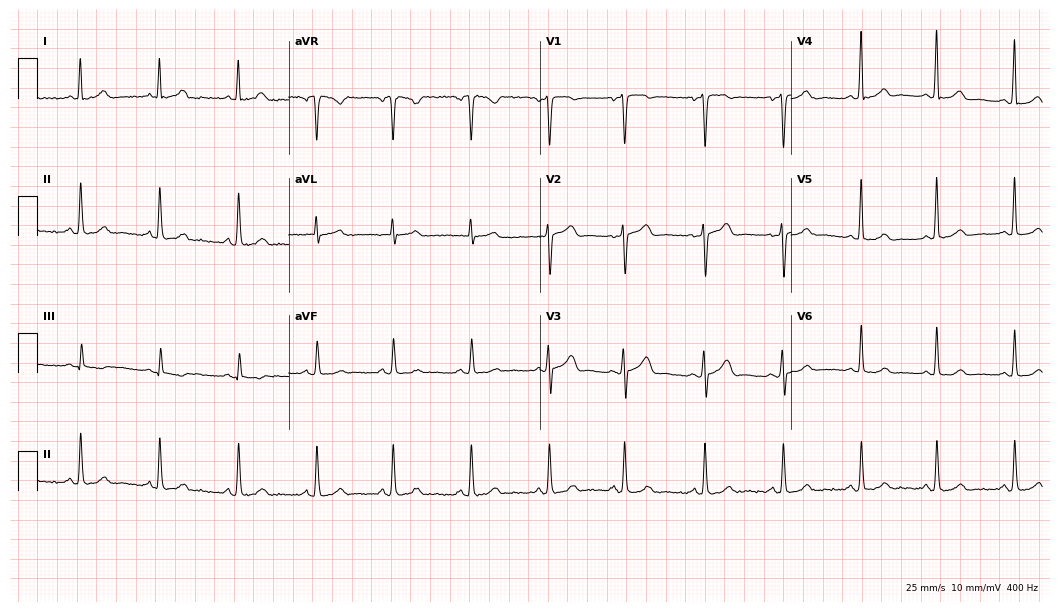
Standard 12-lead ECG recorded from a 39-year-old female. Read as a normal ECG.